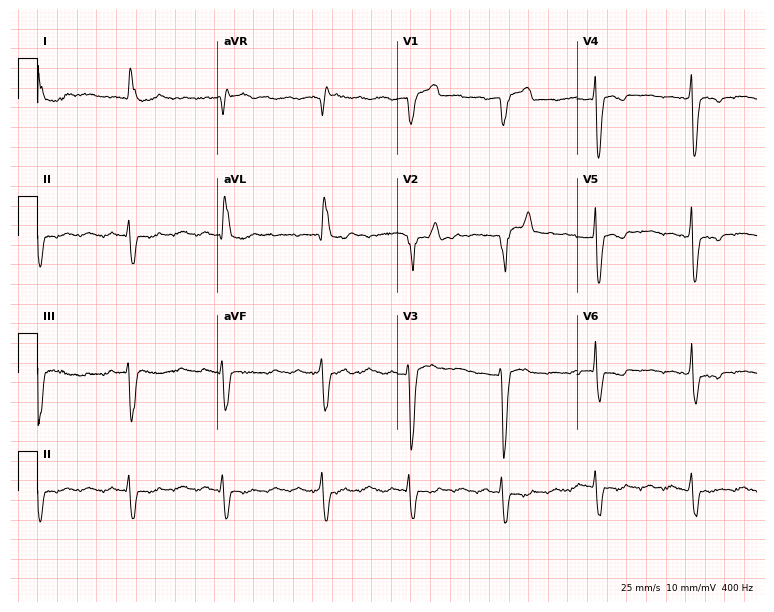
Standard 12-lead ECG recorded from a man, 84 years old. None of these six findings is recorded: first-degree AV block, right bundle branch block (RBBB), left bundle branch block (LBBB), sinus bradycardia, atrial fibrillation (AF), sinus tachycardia. Findings outside these six are not listed.